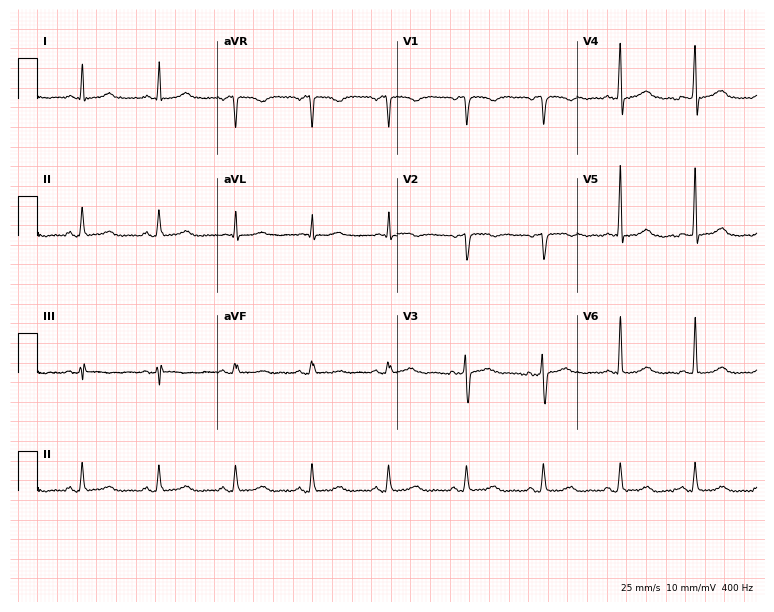
ECG — a 60-year-old woman. Labelled as a normal ECG.